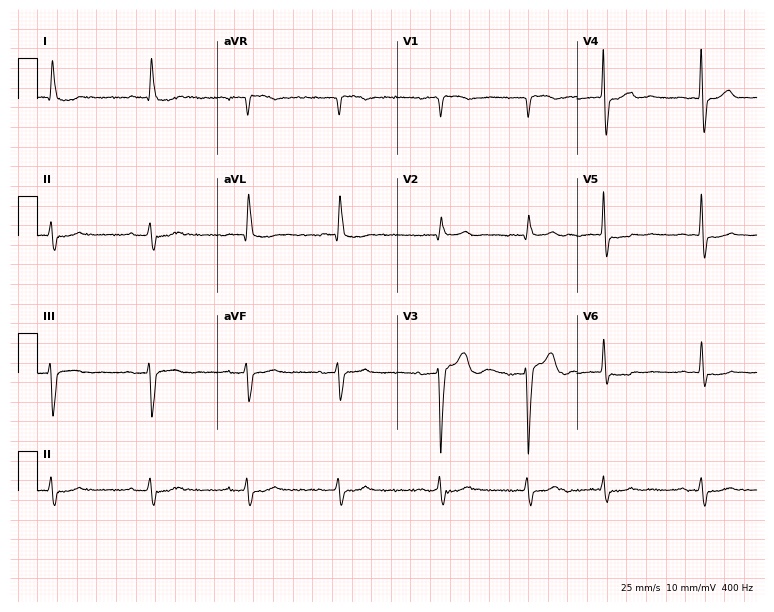
Standard 12-lead ECG recorded from a 72-year-old female patient. None of these six findings is recorded: first-degree AV block, right bundle branch block, left bundle branch block, sinus bradycardia, atrial fibrillation, sinus tachycardia.